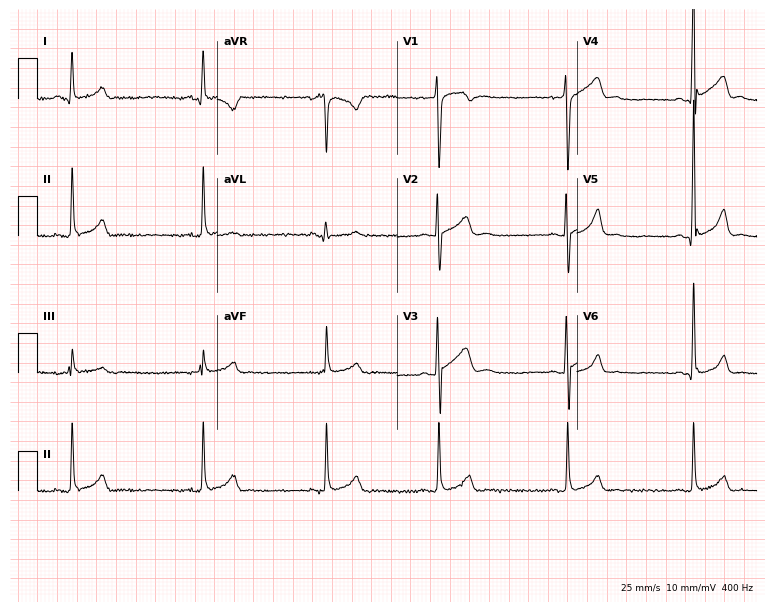
Standard 12-lead ECG recorded from a 20-year-old male patient. Read as a normal ECG.